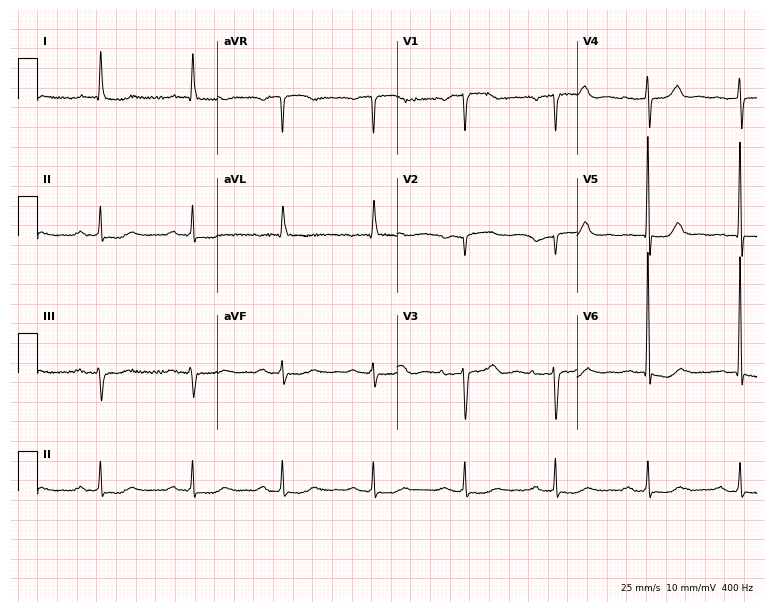
12-lead ECG from a female, 73 years old. Shows first-degree AV block.